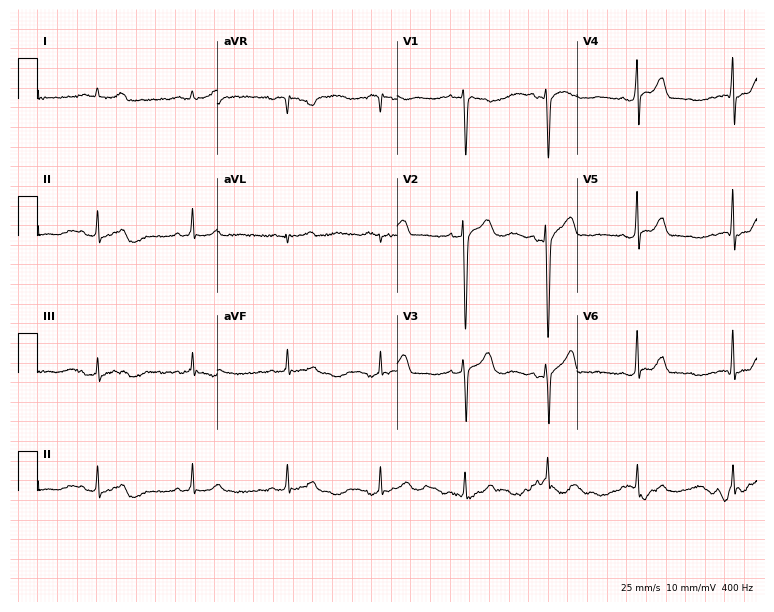
12-lead ECG from a female, 30 years old (7.3-second recording at 400 Hz). Recorded interpretation: within normal limits.